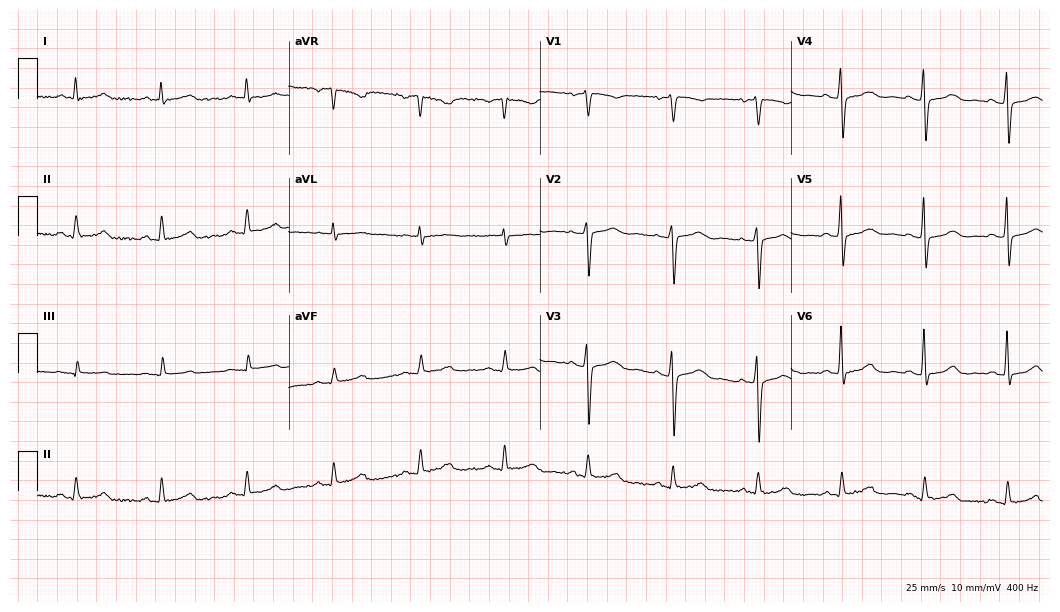
12-lead ECG from a man, 67 years old. Labelled as a normal ECG.